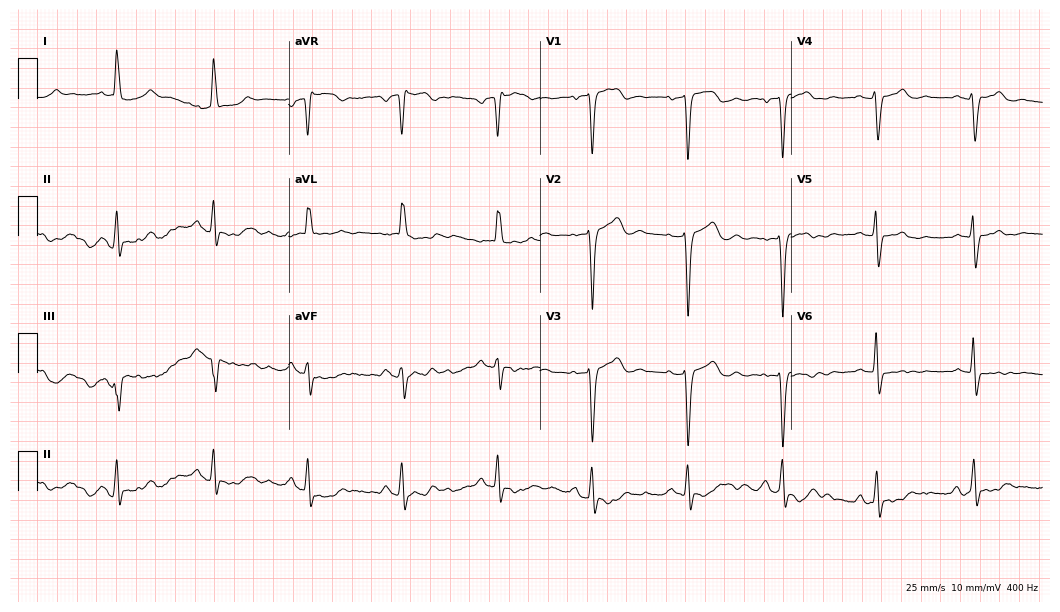
Resting 12-lead electrocardiogram (10.2-second recording at 400 Hz). Patient: an 80-year-old woman. None of these six findings is recorded: first-degree AV block, right bundle branch block, left bundle branch block, sinus bradycardia, atrial fibrillation, sinus tachycardia.